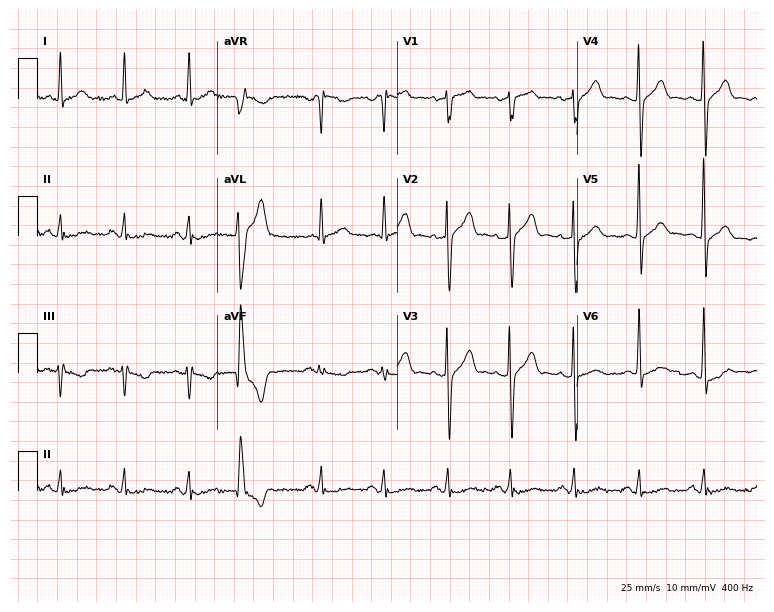
12-lead ECG (7.3-second recording at 400 Hz) from a male patient, 57 years old. Screened for six findings — first-degree AV block, right bundle branch block, left bundle branch block, sinus bradycardia, atrial fibrillation, sinus tachycardia — none is recorded.